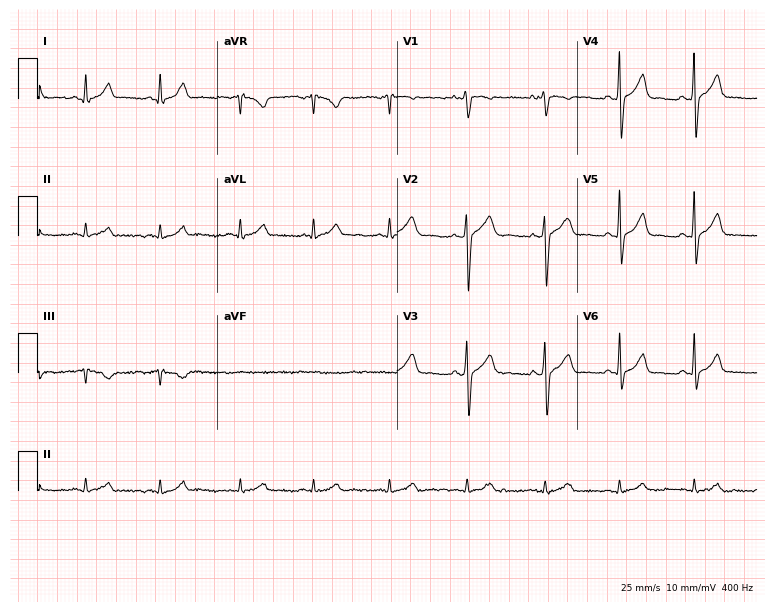
Resting 12-lead electrocardiogram (7.3-second recording at 400 Hz). Patient: a 26-year-old male. Read as a normal ECG.